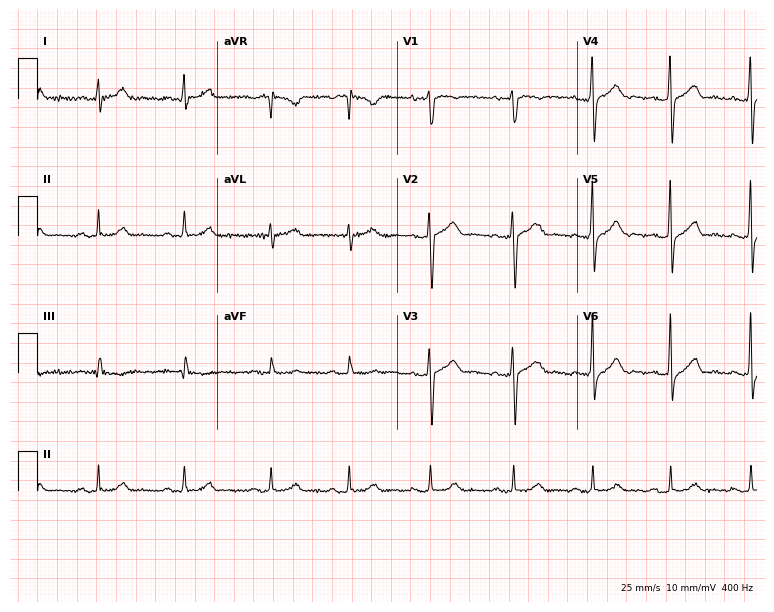
ECG (7.3-second recording at 400 Hz) — a 33-year-old male. Screened for six findings — first-degree AV block, right bundle branch block, left bundle branch block, sinus bradycardia, atrial fibrillation, sinus tachycardia — none is recorded.